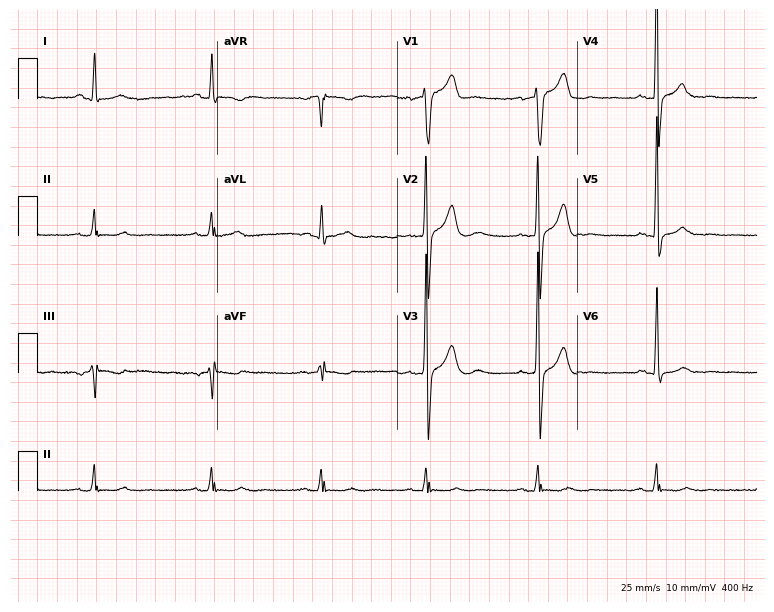
12-lead ECG from a male patient, 44 years old. Labelled as a normal ECG.